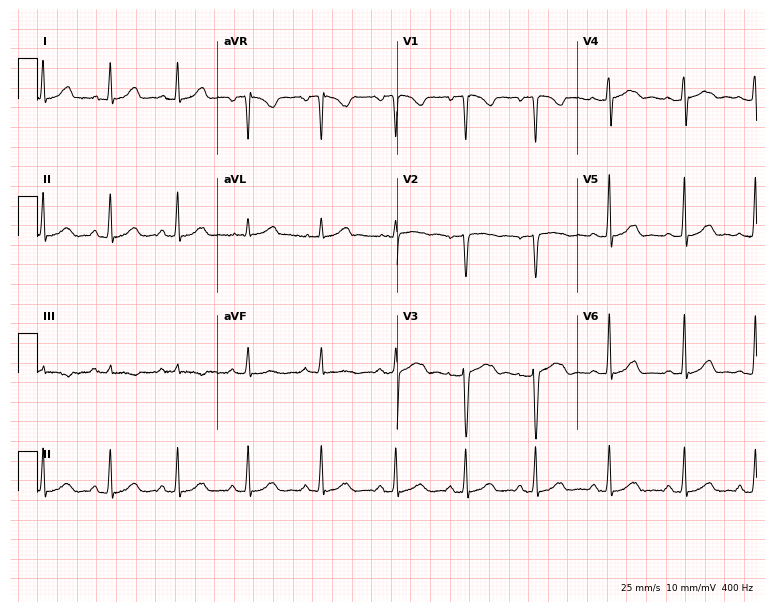
ECG (7.3-second recording at 400 Hz) — a 29-year-old woman. Screened for six findings — first-degree AV block, right bundle branch block, left bundle branch block, sinus bradycardia, atrial fibrillation, sinus tachycardia — none is recorded. Only these six findings were labelled.